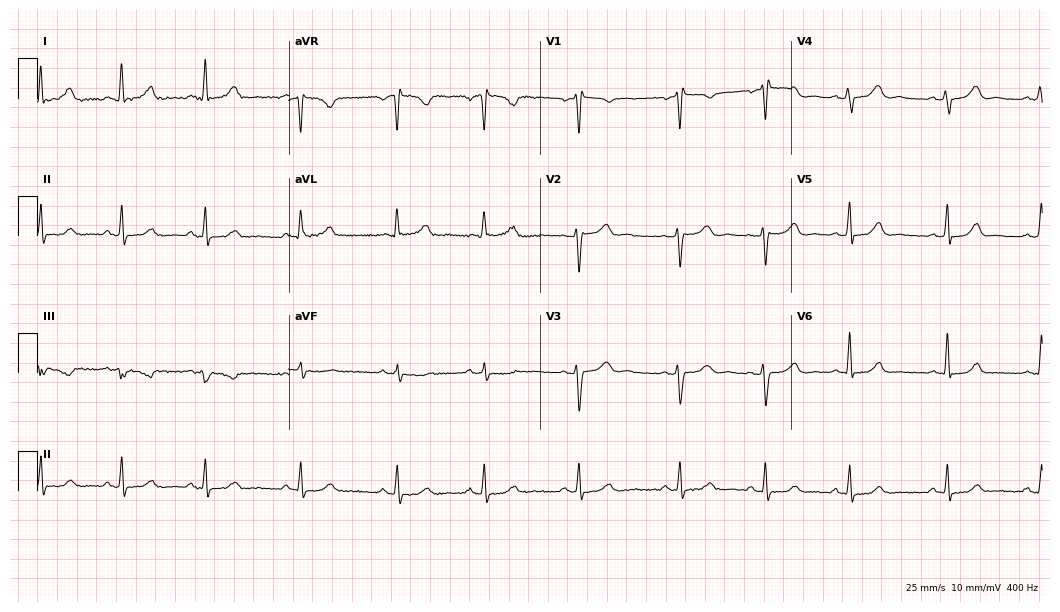
12-lead ECG from a 52-year-old woman. Recorded interpretation: within normal limits.